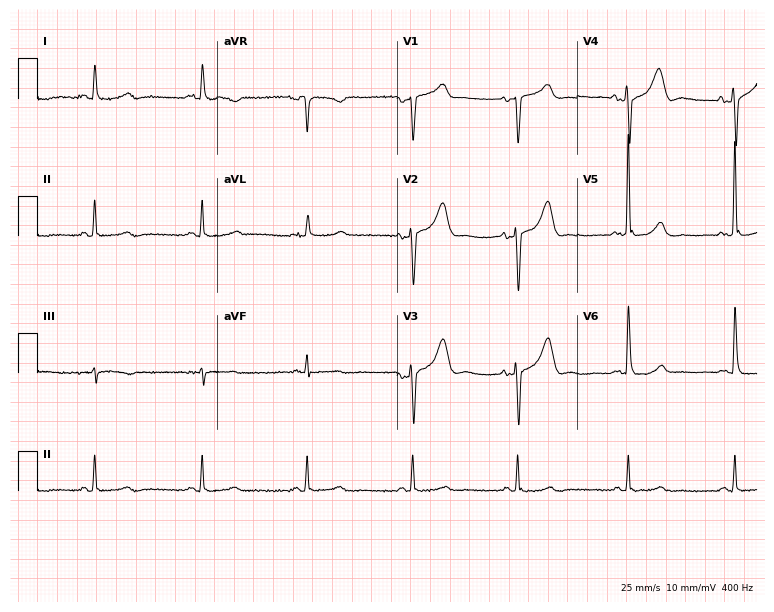
Standard 12-lead ECG recorded from a 75-year-old male (7.3-second recording at 400 Hz). None of these six findings is recorded: first-degree AV block, right bundle branch block, left bundle branch block, sinus bradycardia, atrial fibrillation, sinus tachycardia.